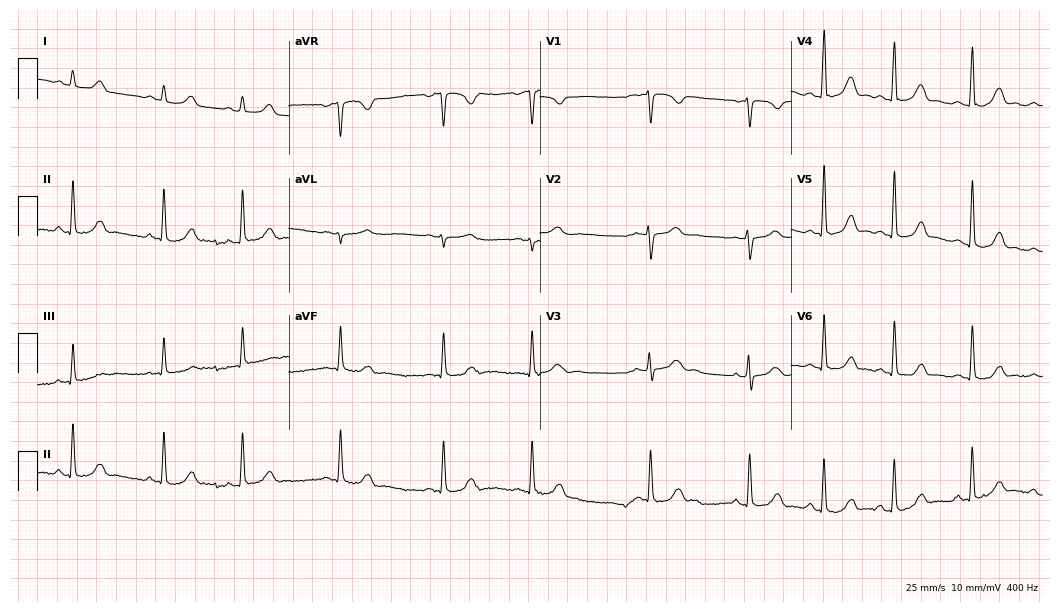
12-lead ECG from a 17-year-old woman. Recorded interpretation: within normal limits.